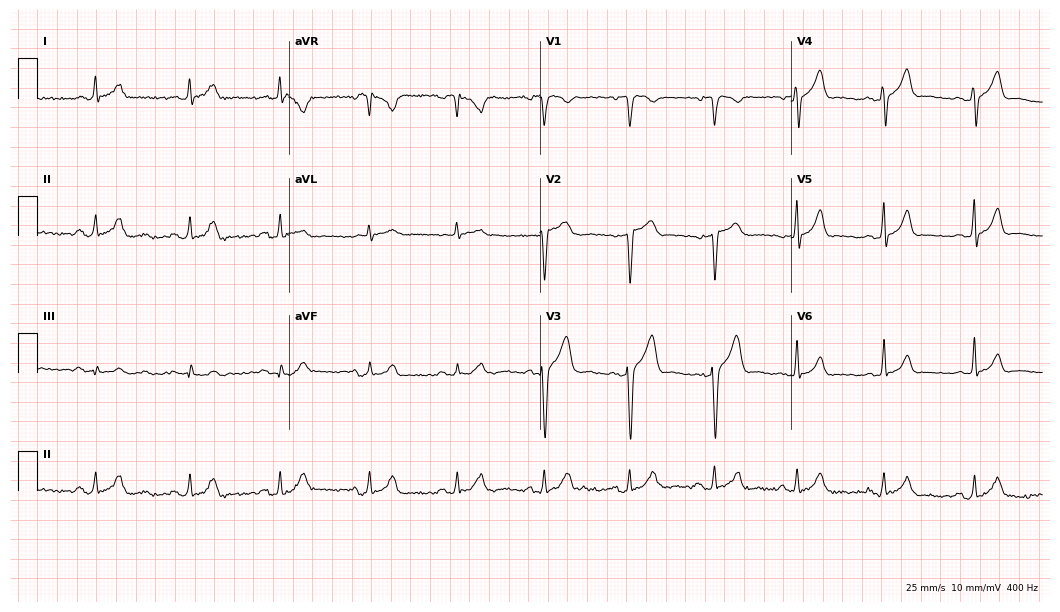
Standard 12-lead ECG recorded from a male patient, 29 years old (10.2-second recording at 400 Hz). Read as a normal ECG.